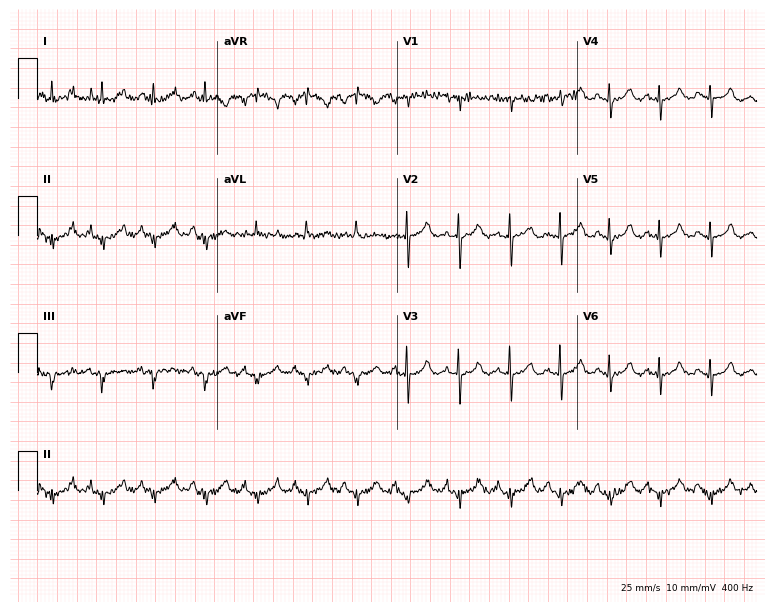
Electrocardiogram, a 77-year-old woman. Of the six screened findings (first-degree AV block, right bundle branch block (RBBB), left bundle branch block (LBBB), sinus bradycardia, atrial fibrillation (AF), sinus tachycardia), none is recorded.